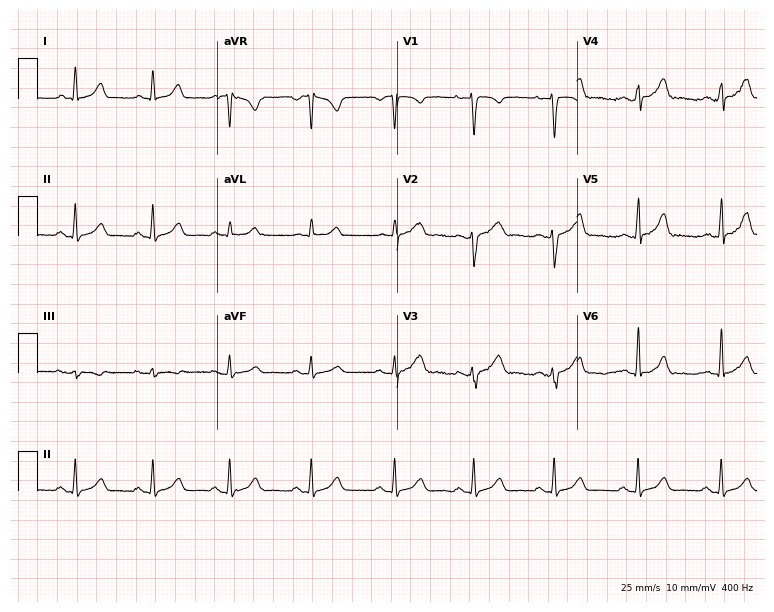
Resting 12-lead electrocardiogram. Patient: a female, 34 years old. None of these six findings is recorded: first-degree AV block, right bundle branch block, left bundle branch block, sinus bradycardia, atrial fibrillation, sinus tachycardia.